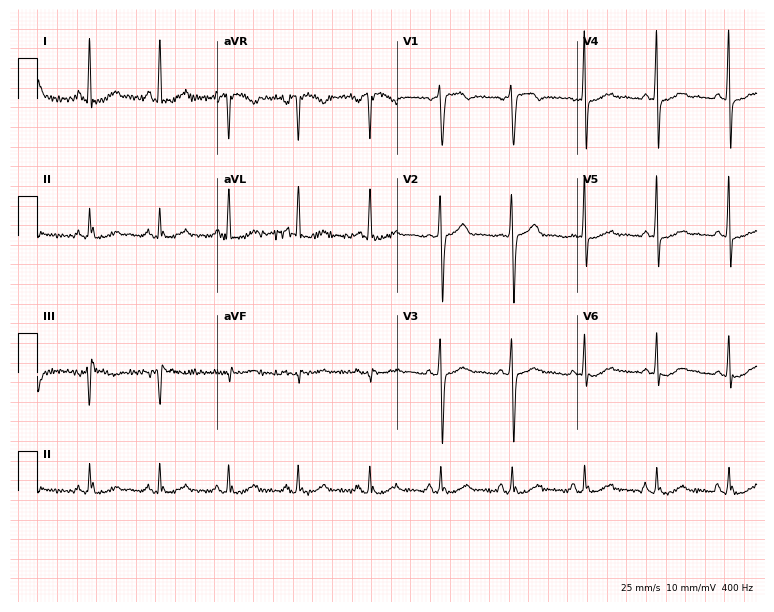
12-lead ECG from a 64-year-old female (7.3-second recording at 400 Hz). No first-degree AV block, right bundle branch block, left bundle branch block, sinus bradycardia, atrial fibrillation or sinus tachycardia recorded for this tracing.